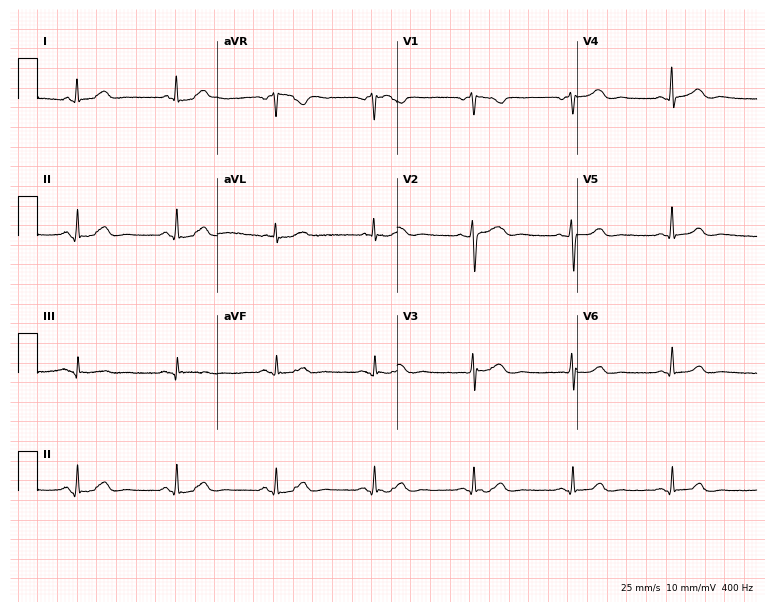
Resting 12-lead electrocardiogram. Patient: a 56-year-old female. Read as a normal ECG.